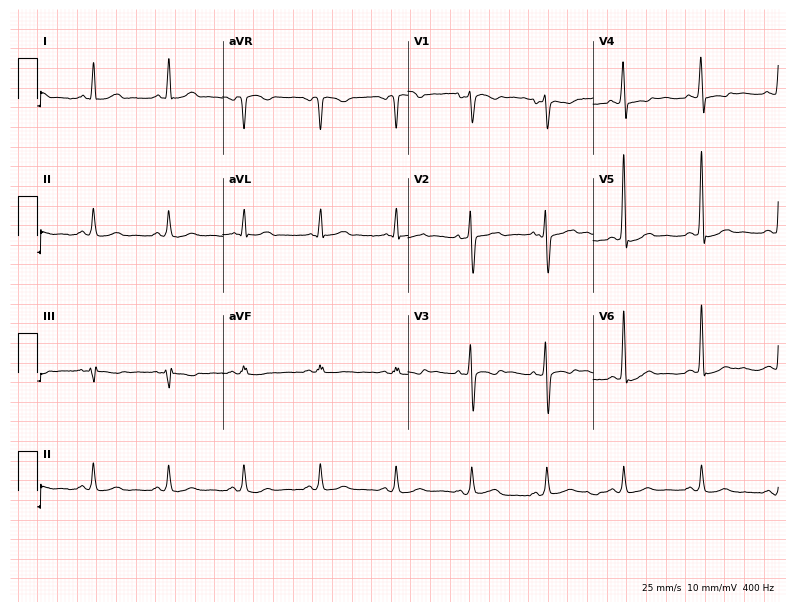
Resting 12-lead electrocardiogram. Patient: a 46-year-old female. None of these six findings is recorded: first-degree AV block, right bundle branch block, left bundle branch block, sinus bradycardia, atrial fibrillation, sinus tachycardia. Findings outside these six are not listed.